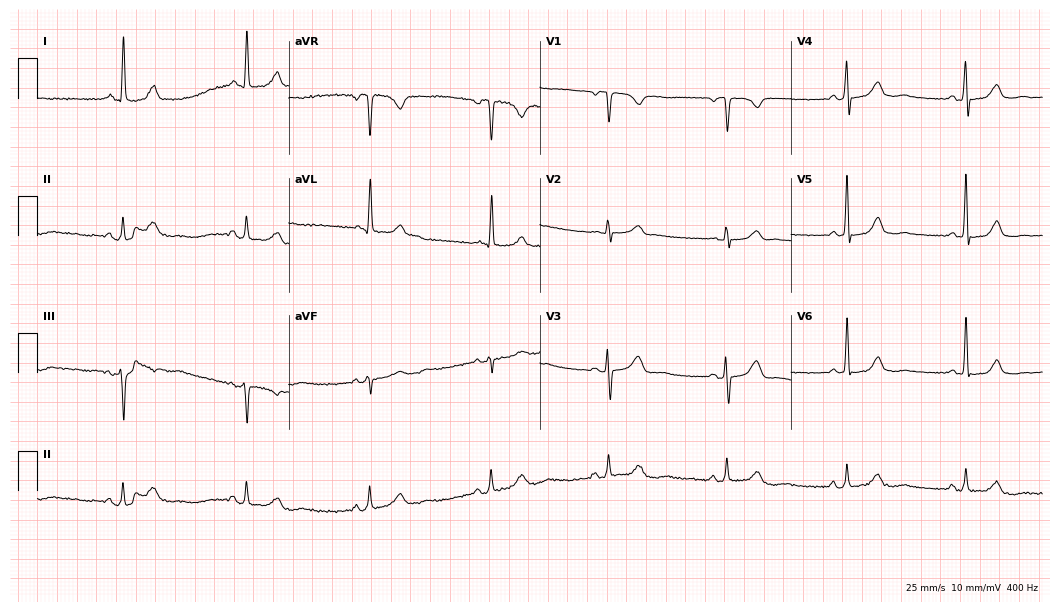
Resting 12-lead electrocardiogram (10.2-second recording at 400 Hz). Patient: a 63-year-old female. The tracing shows sinus bradycardia (a sinus rate of 50 beats per minute or less).